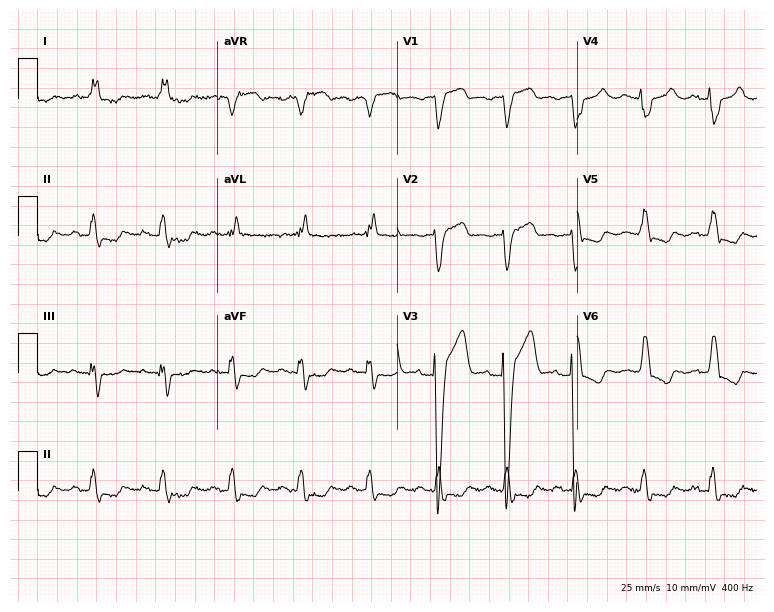
Electrocardiogram, an 80-year-old male. Of the six screened findings (first-degree AV block, right bundle branch block, left bundle branch block, sinus bradycardia, atrial fibrillation, sinus tachycardia), none is recorded.